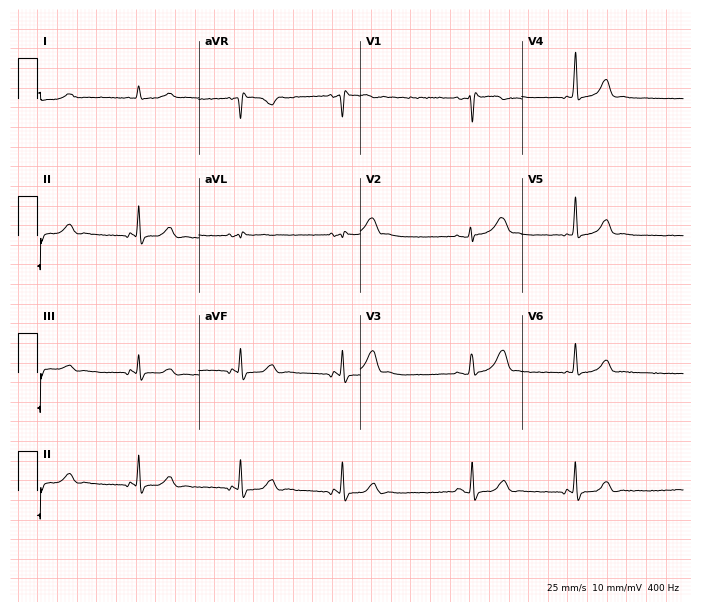
Standard 12-lead ECG recorded from a female, 37 years old (6.6-second recording at 400 Hz). Read as a normal ECG.